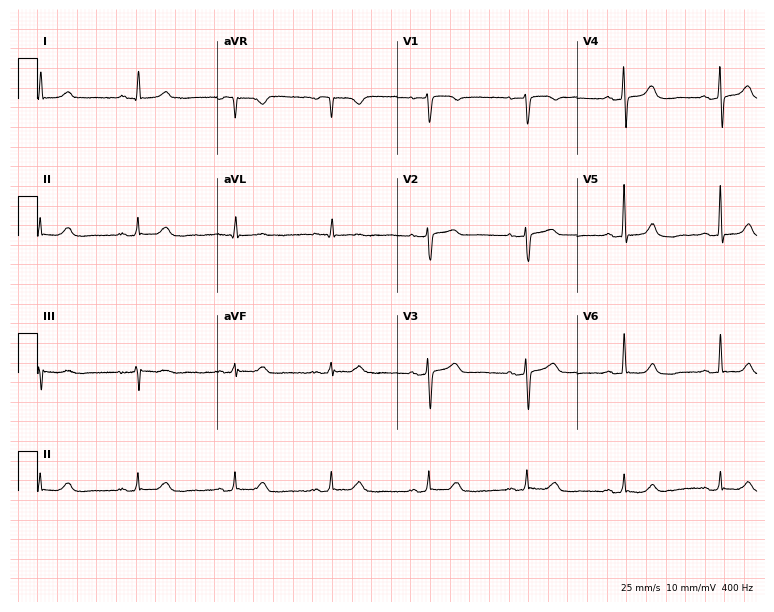
Standard 12-lead ECG recorded from an 84-year-old female (7.3-second recording at 400 Hz). Read as a normal ECG.